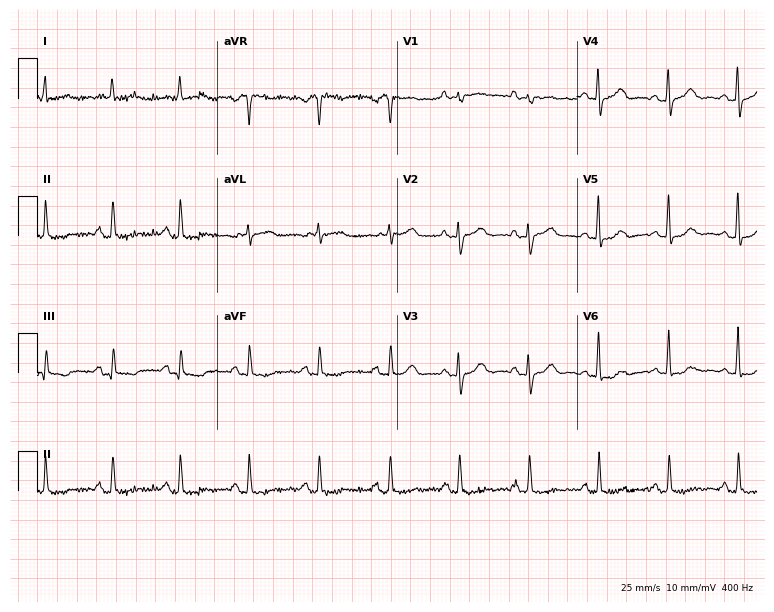
12-lead ECG from a 74-year-old female. Screened for six findings — first-degree AV block, right bundle branch block, left bundle branch block, sinus bradycardia, atrial fibrillation, sinus tachycardia — none is recorded. Findings outside these six are not listed.